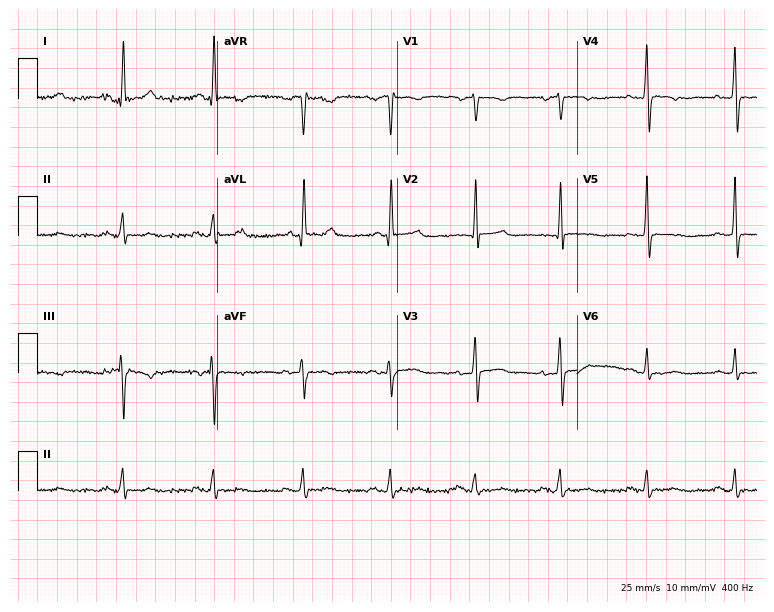
Standard 12-lead ECG recorded from a female patient, 79 years old. None of these six findings is recorded: first-degree AV block, right bundle branch block (RBBB), left bundle branch block (LBBB), sinus bradycardia, atrial fibrillation (AF), sinus tachycardia.